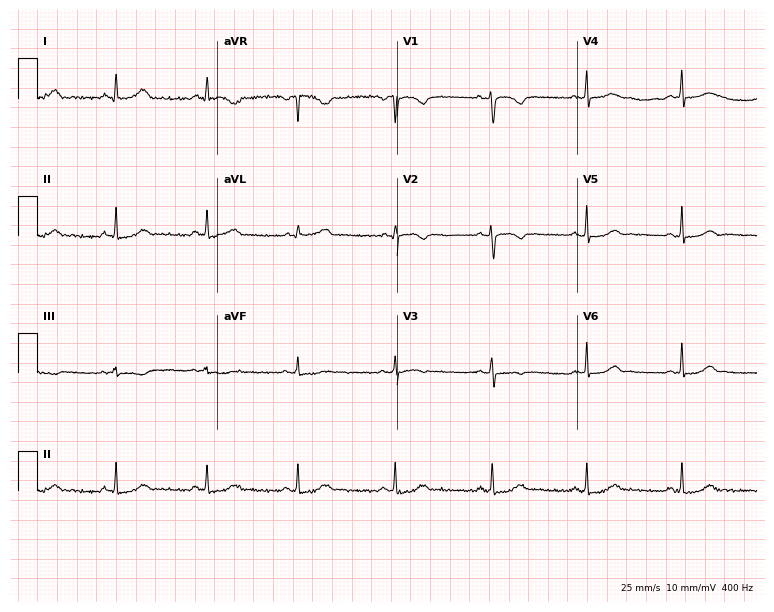
Resting 12-lead electrocardiogram. Patient: a 29-year-old female. Read as a normal ECG.